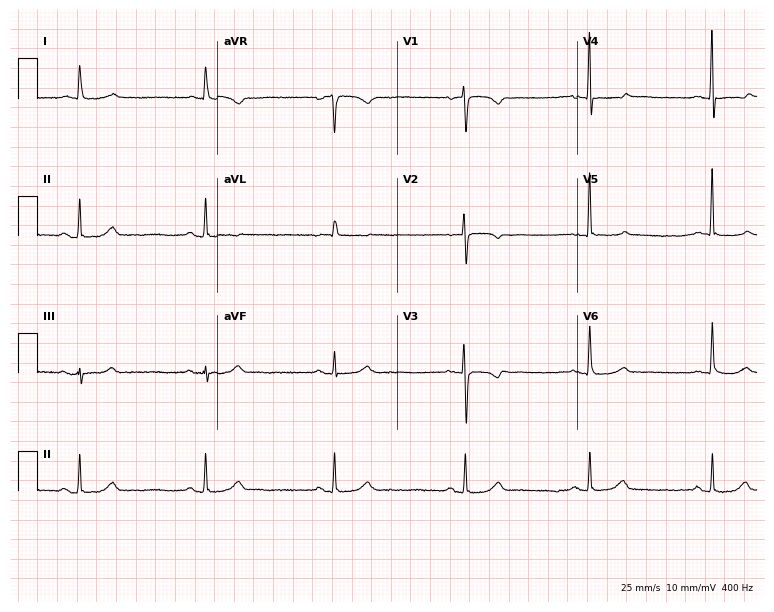
Resting 12-lead electrocardiogram. Patient: a woman, 75 years old. The tracing shows sinus bradycardia (a sinus rate of 50 beats per minute or less).